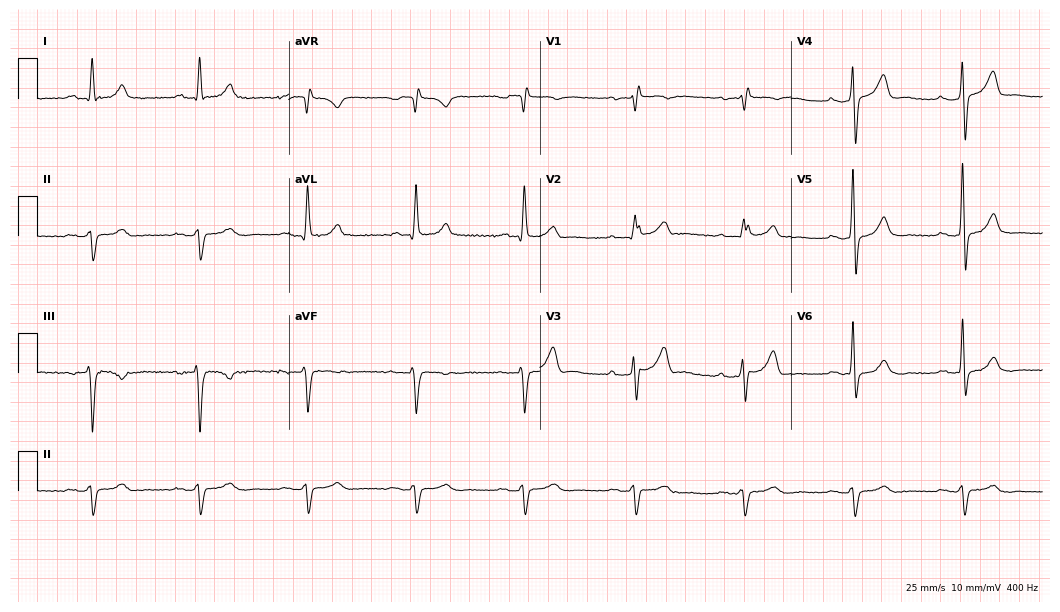
12-lead ECG from a male patient, 77 years old (10.2-second recording at 400 Hz). Shows right bundle branch block (RBBB).